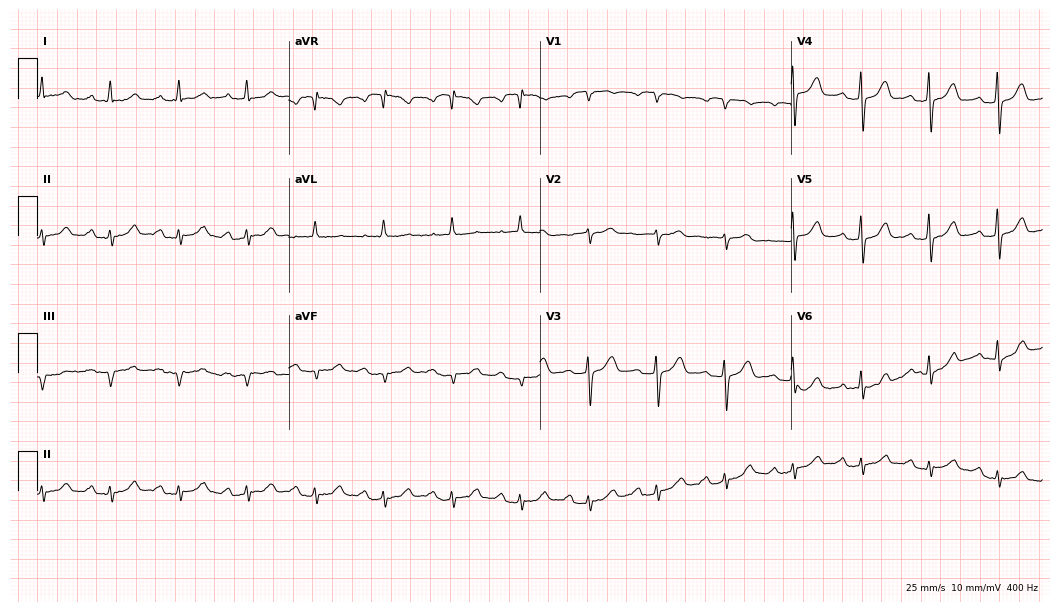
Electrocardiogram, a 75-year-old female patient. Interpretation includes first-degree AV block.